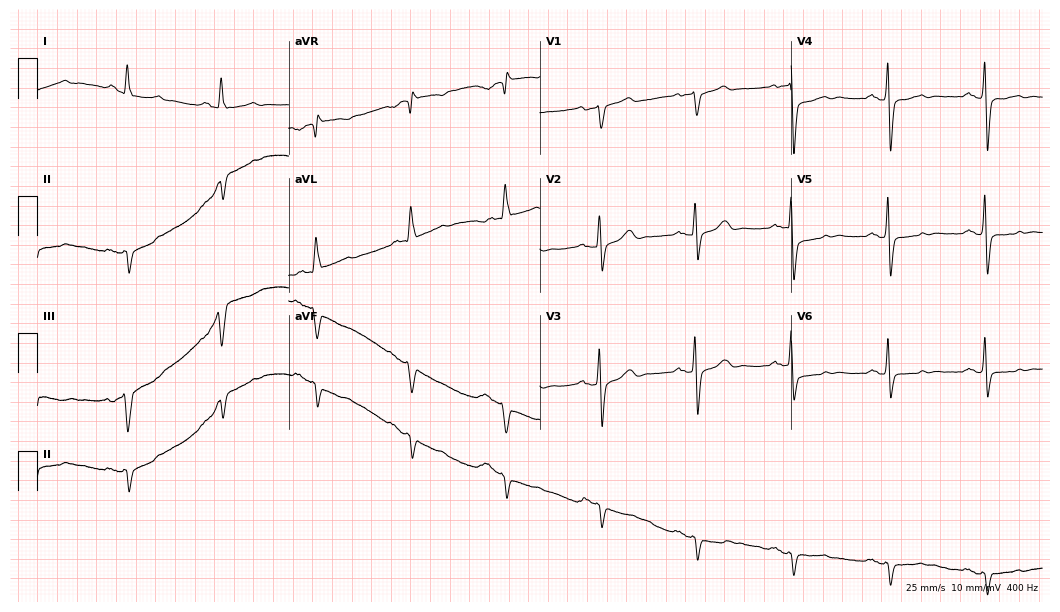
12-lead ECG from a male, 68 years old. Screened for six findings — first-degree AV block, right bundle branch block, left bundle branch block, sinus bradycardia, atrial fibrillation, sinus tachycardia — none is recorded.